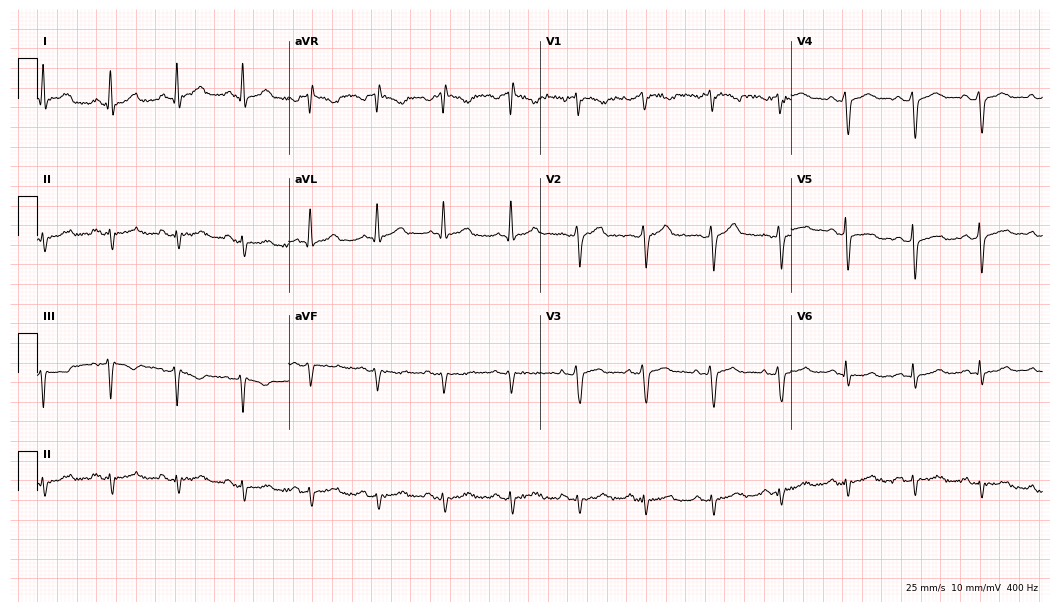
Standard 12-lead ECG recorded from a male, 59 years old (10.2-second recording at 400 Hz). None of these six findings is recorded: first-degree AV block, right bundle branch block, left bundle branch block, sinus bradycardia, atrial fibrillation, sinus tachycardia. Other findings, if any, are not listed.